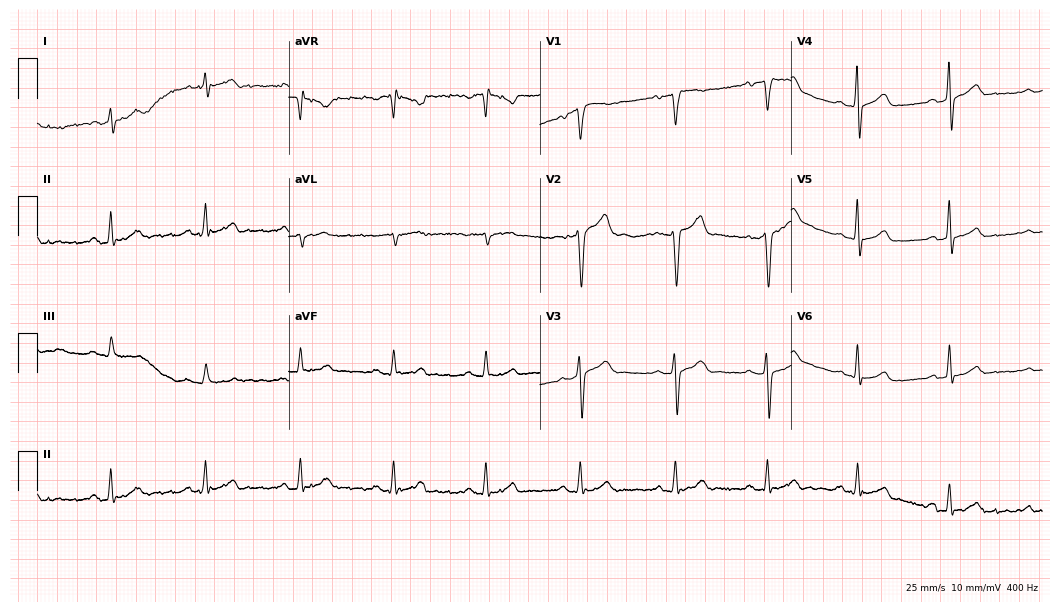
Electrocardiogram (10.2-second recording at 400 Hz), a 56-year-old man. Overall reading on record: normal ECG.